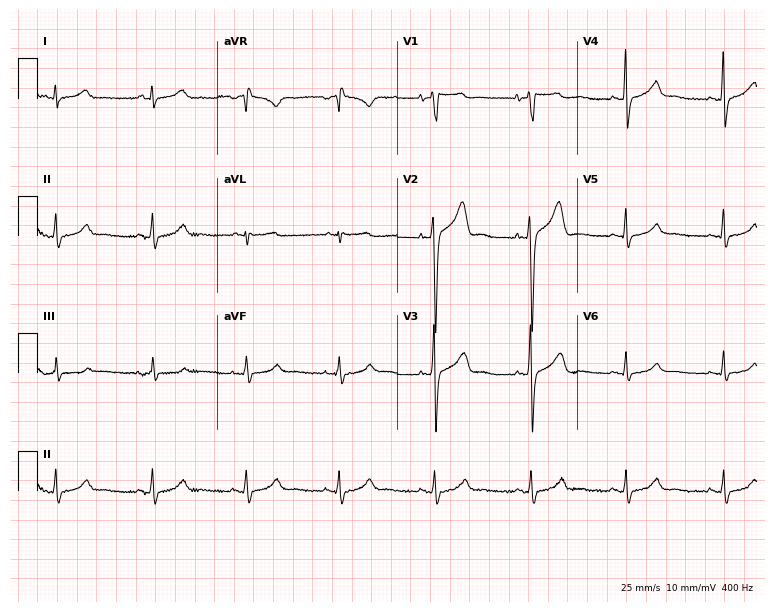
Standard 12-lead ECG recorded from a 59-year-old male patient (7.3-second recording at 400 Hz). Read as a normal ECG.